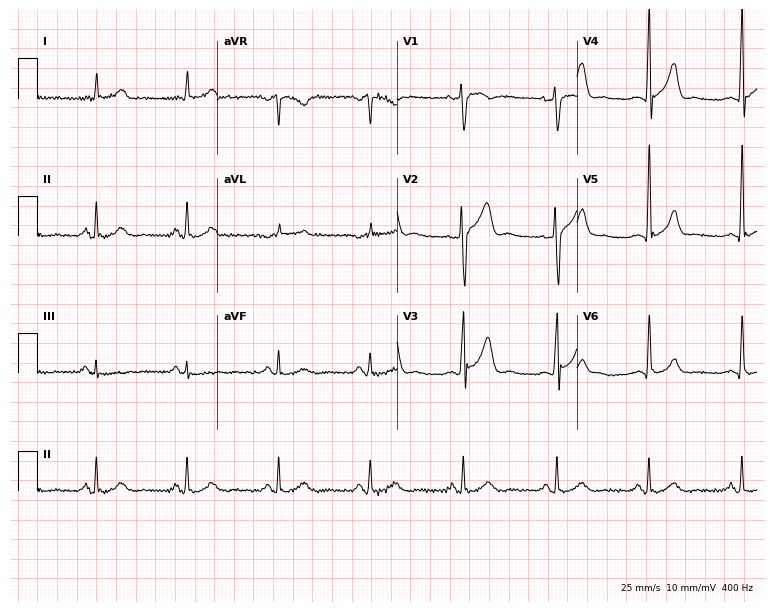
12-lead ECG from a man, 44 years old (7.3-second recording at 400 Hz). No first-degree AV block, right bundle branch block, left bundle branch block, sinus bradycardia, atrial fibrillation or sinus tachycardia recorded for this tracing. Only these six findings were labelled.